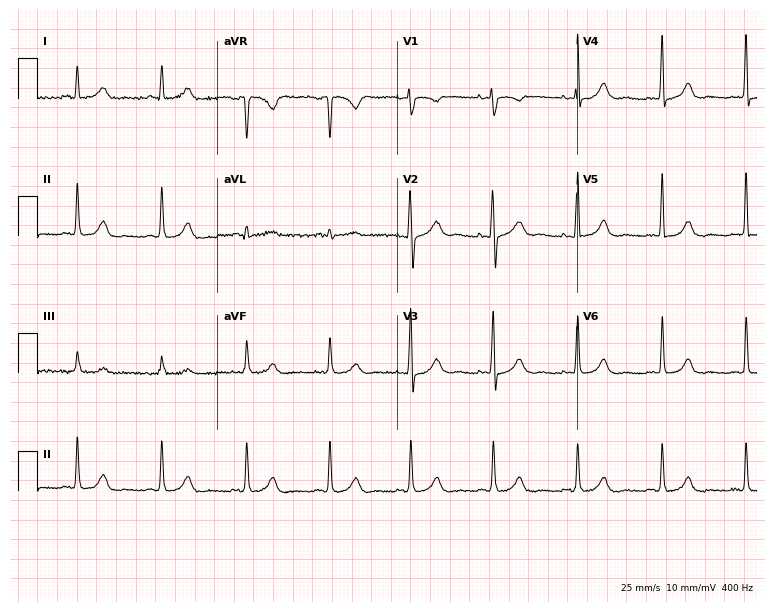
Standard 12-lead ECG recorded from a 60-year-old female patient. Read as a normal ECG.